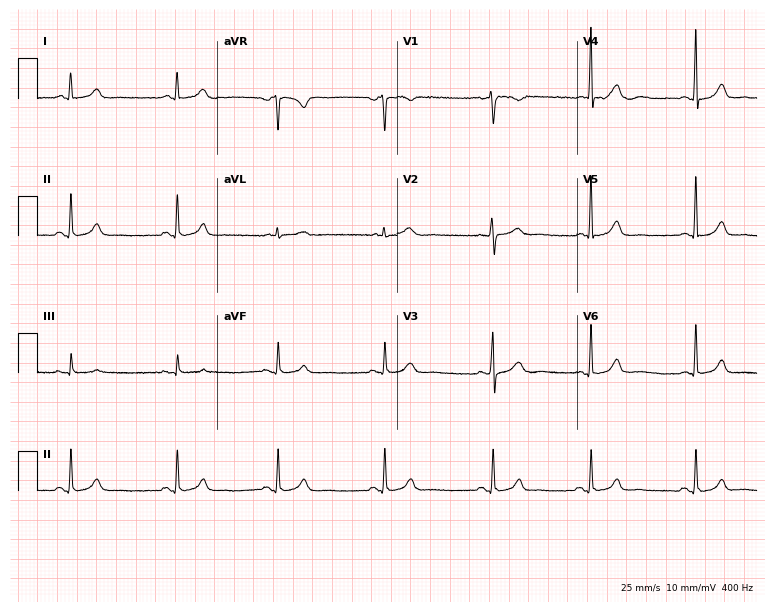
ECG — a female patient, 43 years old. Labelled as a normal ECG.